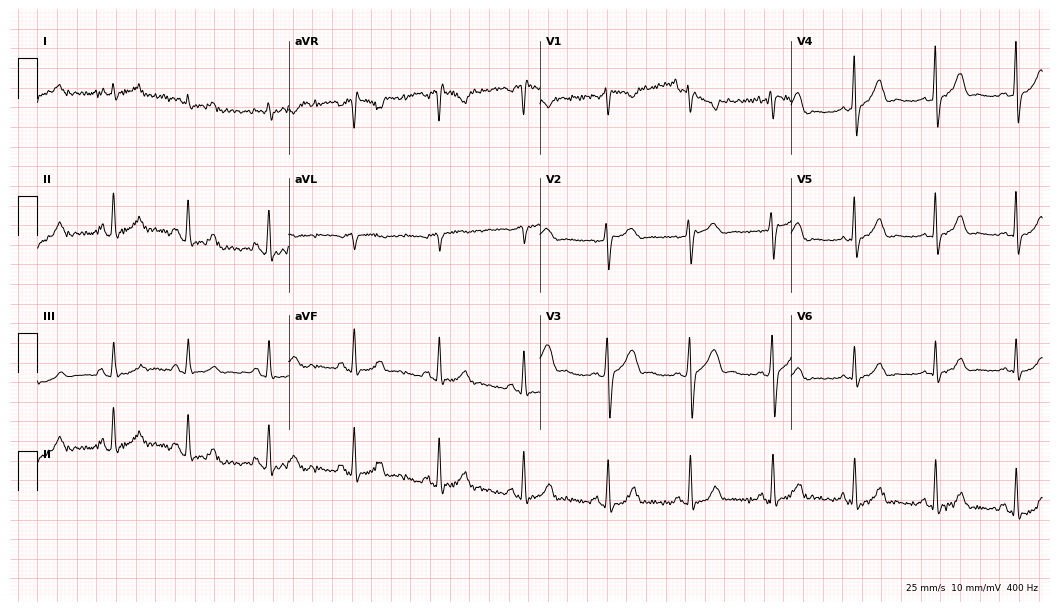
12-lead ECG from a male patient, 35 years old (10.2-second recording at 400 Hz). Recorded interpretation: within normal limits.